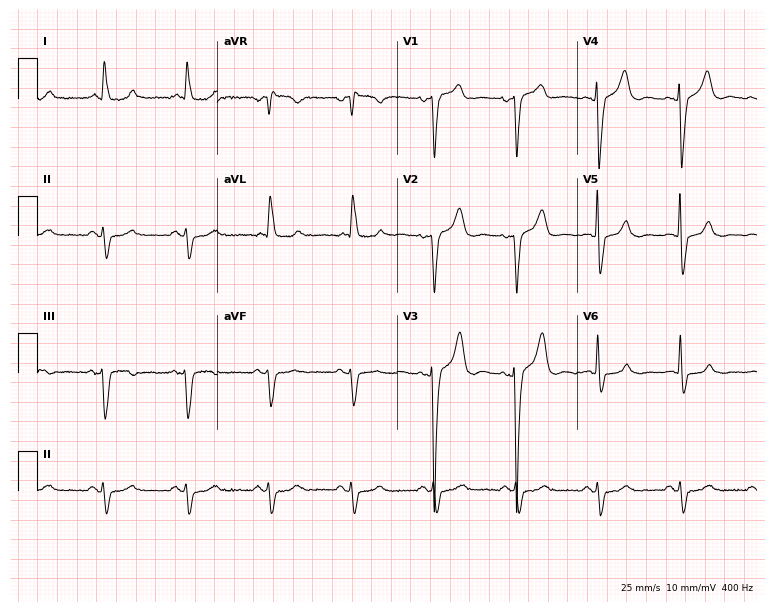
Resting 12-lead electrocardiogram (7.3-second recording at 400 Hz). Patient: an 86-year-old female. None of these six findings is recorded: first-degree AV block, right bundle branch block (RBBB), left bundle branch block (LBBB), sinus bradycardia, atrial fibrillation (AF), sinus tachycardia.